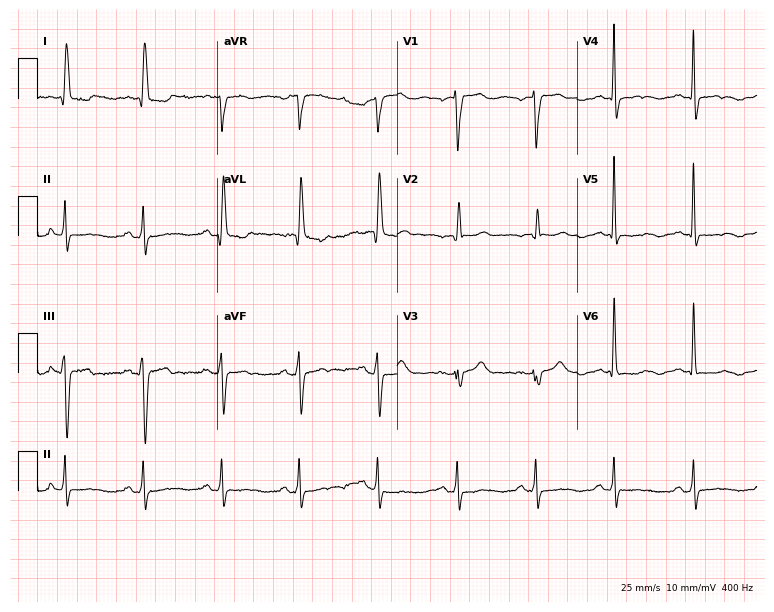
Standard 12-lead ECG recorded from a female, 81 years old (7.3-second recording at 400 Hz). None of these six findings is recorded: first-degree AV block, right bundle branch block (RBBB), left bundle branch block (LBBB), sinus bradycardia, atrial fibrillation (AF), sinus tachycardia.